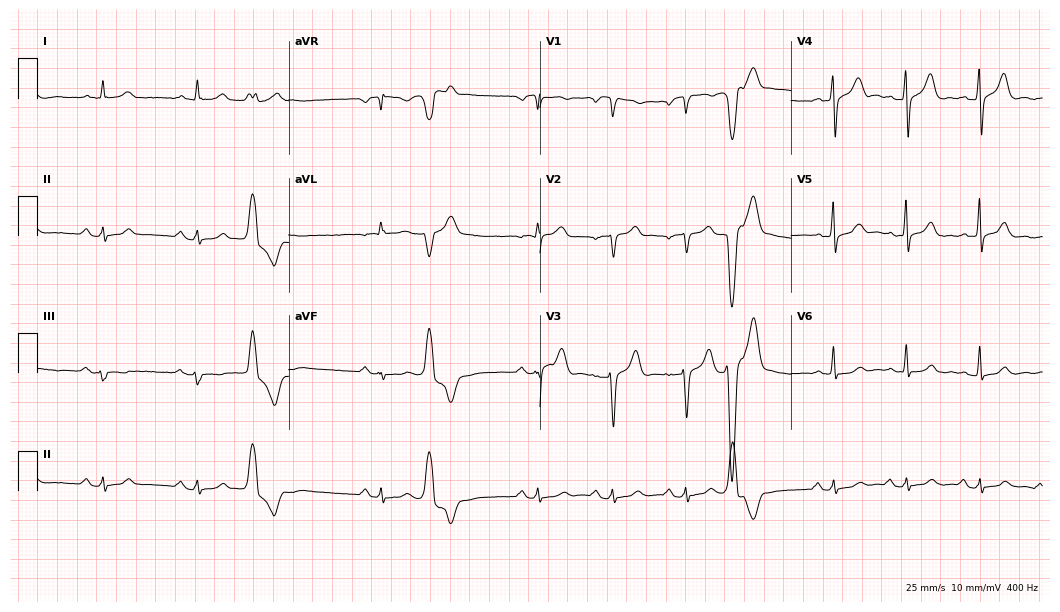
Resting 12-lead electrocardiogram. Patient: a male, 74 years old. None of these six findings is recorded: first-degree AV block, right bundle branch block, left bundle branch block, sinus bradycardia, atrial fibrillation, sinus tachycardia.